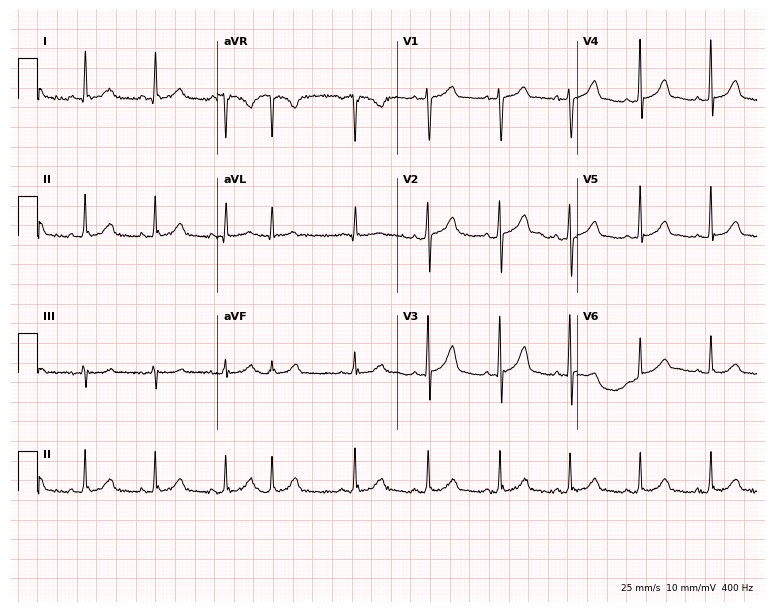
Resting 12-lead electrocardiogram (7.3-second recording at 400 Hz). Patient: a 75-year-old female. None of these six findings is recorded: first-degree AV block, right bundle branch block (RBBB), left bundle branch block (LBBB), sinus bradycardia, atrial fibrillation (AF), sinus tachycardia.